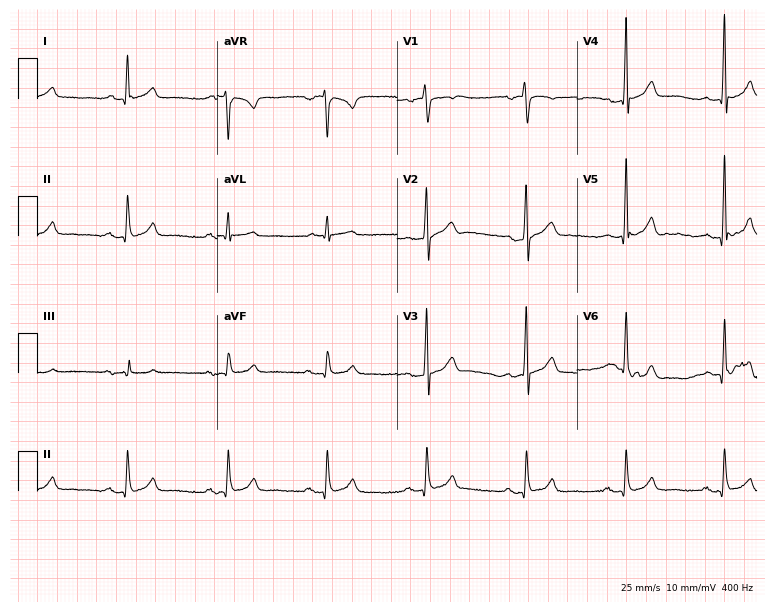
Resting 12-lead electrocardiogram (7.3-second recording at 400 Hz). Patient: a 61-year-old male. None of these six findings is recorded: first-degree AV block, right bundle branch block (RBBB), left bundle branch block (LBBB), sinus bradycardia, atrial fibrillation (AF), sinus tachycardia. Only these six findings were labelled.